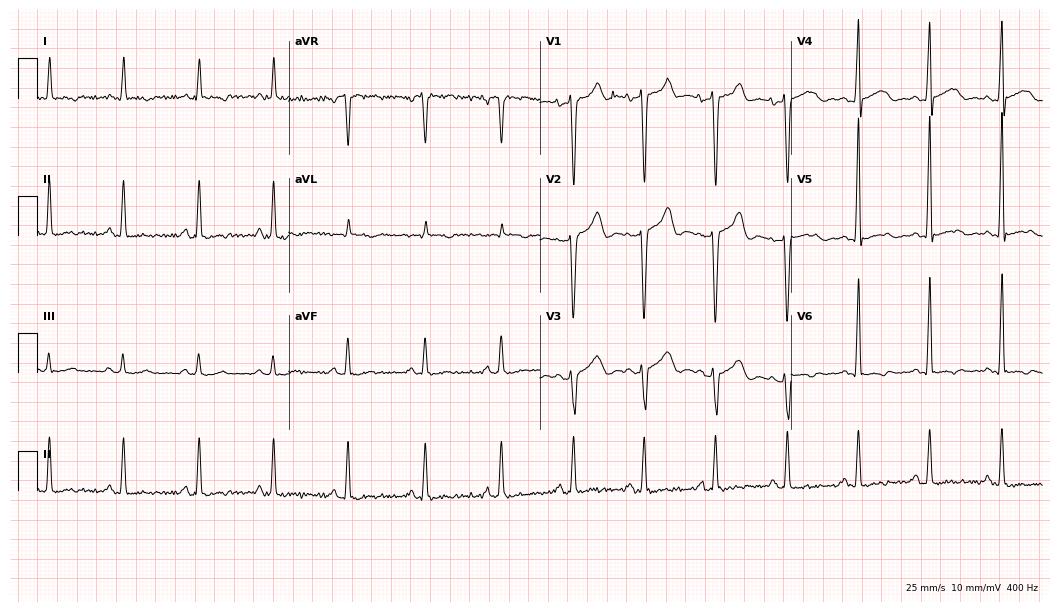
ECG — a 69-year-old male patient. Screened for six findings — first-degree AV block, right bundle branch block, left bundle branch block, sinus bradycardia, atrial fibrillation, sinus tachycardia — none is recorded.